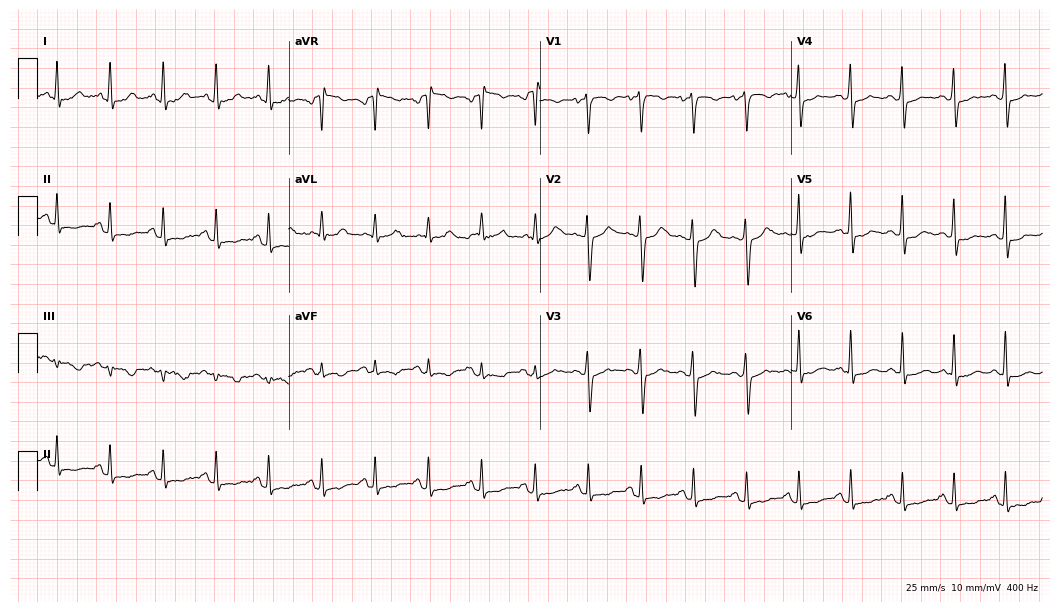
12-lead ECG from a 28-year-old female patient. Screened for six findings — first-degree AV block, right bundle branch block (RBBB), left bundle branch block (LBBB), sinus bradycardia, atrial fibrillation (AF), sinus tachycardia — none is recorded.